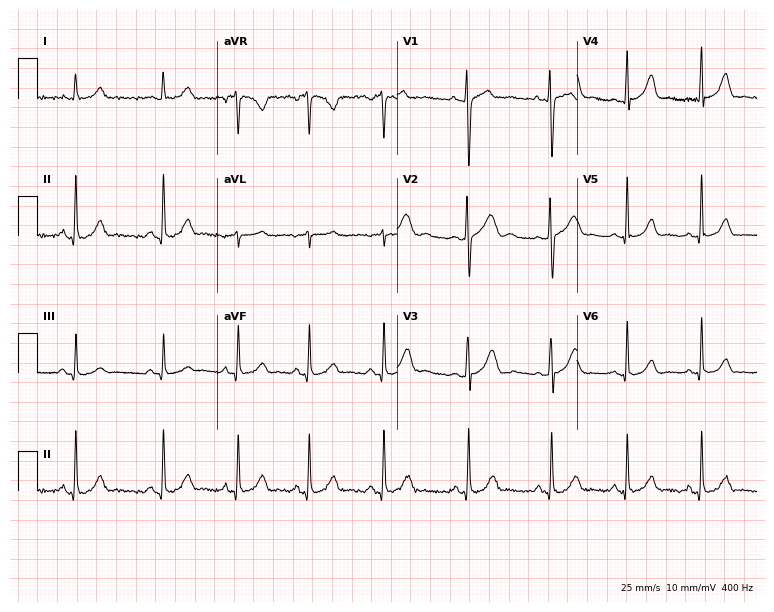
12-lead ECG from a woman, 22 years old. Labelled as a normal ECG.